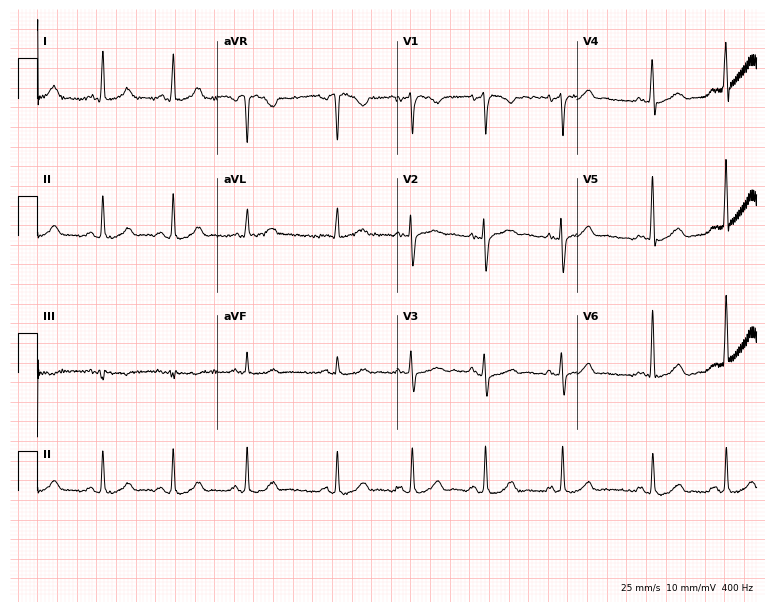
12-lead ECG from a female, 33 years old. Labelled as a normal ECG.